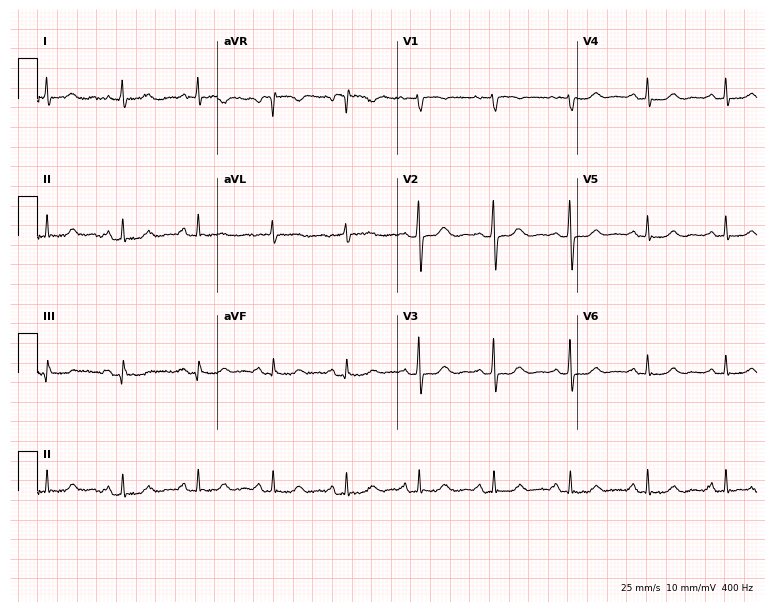
Resting 12-lead electrocardiogram. Patient: a woman, 65 years old. Read as a normal ECG.